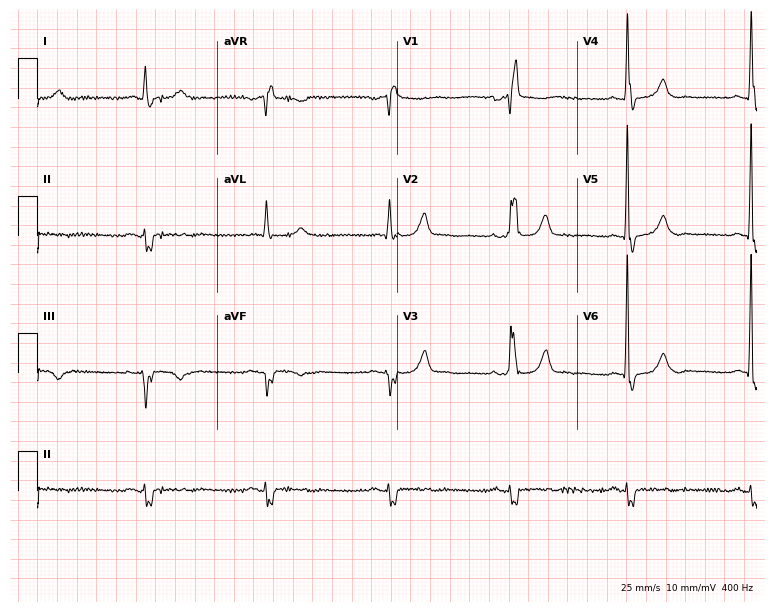
Resting 12-lead electrocardiogram (7.3-second recording at 400 Hz). Patient: a 71-year-old male. The tracing shows right bundle branch block.